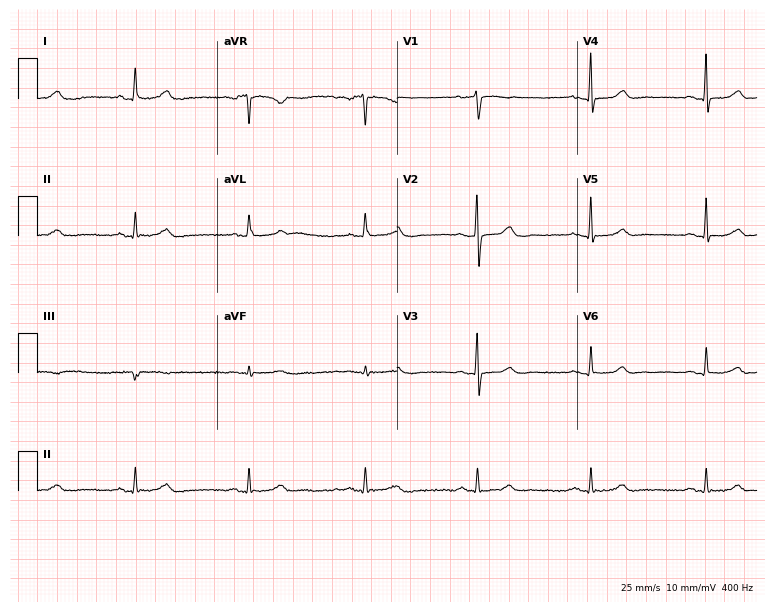
Electrocardiogram, a woman, 58 years old. Overall reading on record: normal ECG.